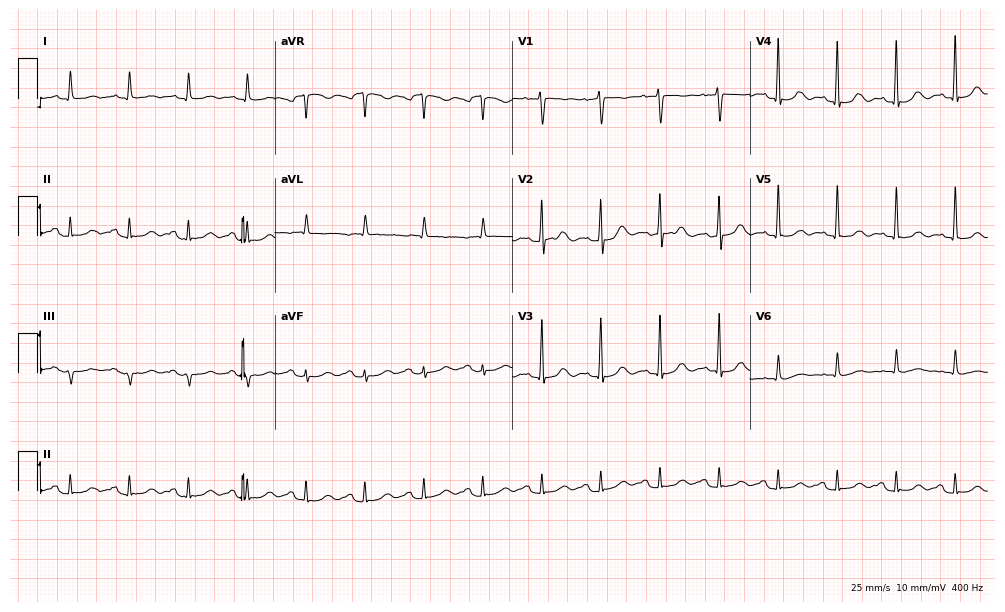
12-lead ECG (9.7-second recording at 400 Hz) from a female patient, 71 years old. Screened for six findings — first-degree AV block, right bundle branch block, left bundle branch block, sinus bradycardia, atrial fibrillation, sinus tachycardia — none is recorded. Findings outside these six are not listed.